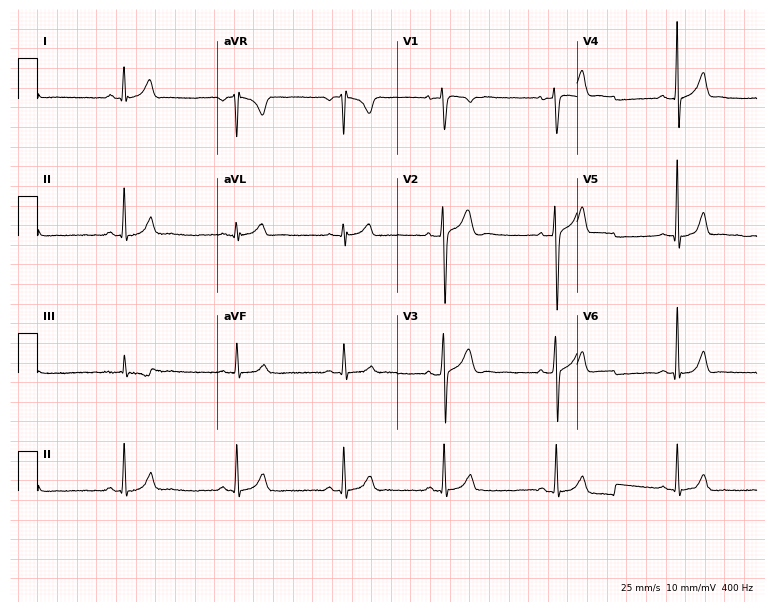
Electrocardiogram, a male, 17 years old. Overall reading on record: normal ECG.